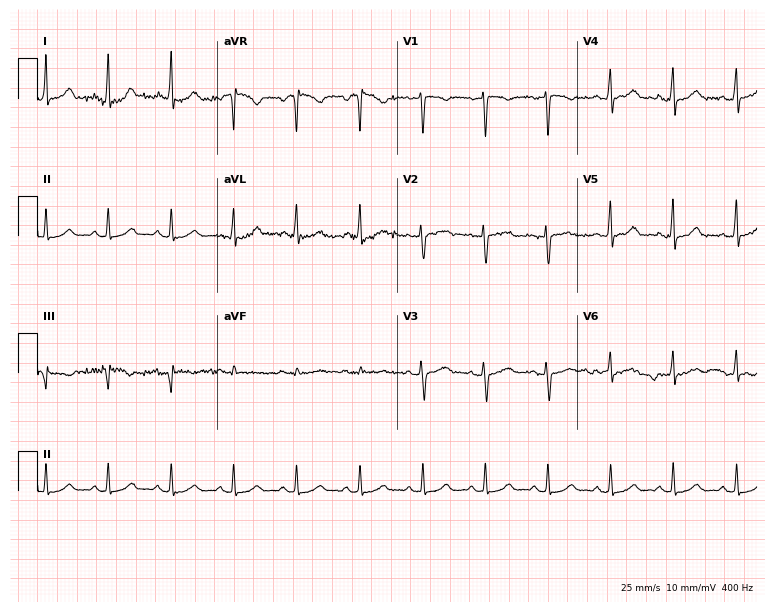
ECG (7.3-second recording at 400 Hz) — a female patient, 39 years old. Labelled as a normal ECG.